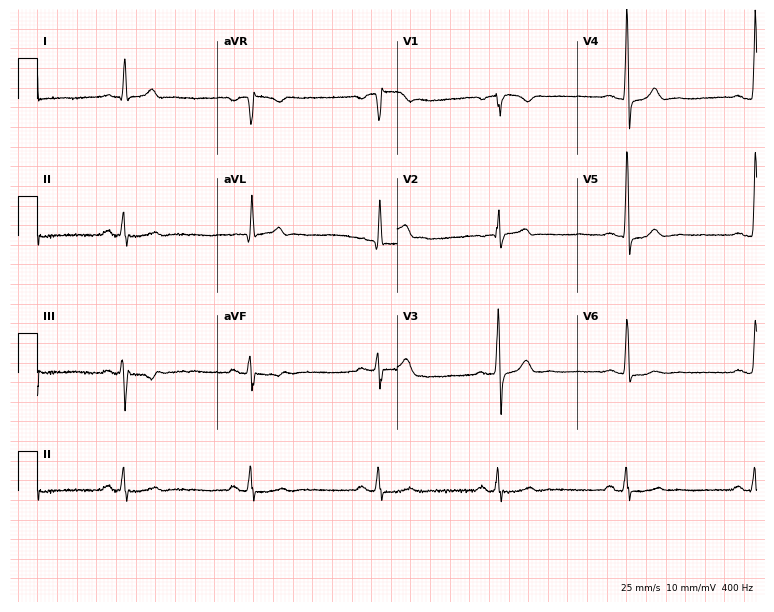
Electrocardiogram (7.3-second recording at 400 Hz), a 63-year-old man. Interpretation includes sinus bradycardia (a sinus rate of 50 beats per minute or less).